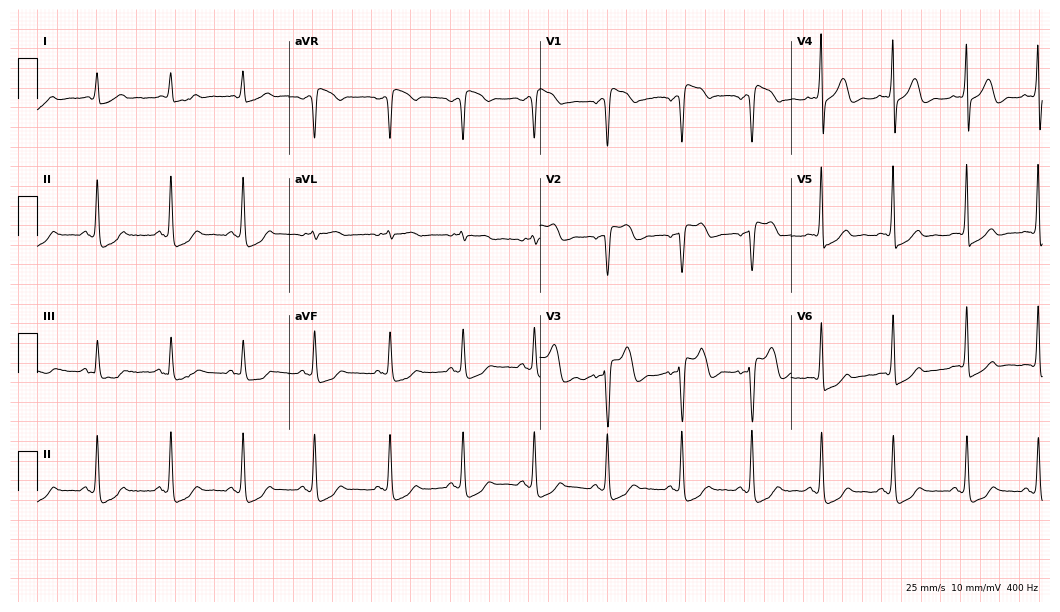
12-lead ECG from a 76-year-old female patient. No first-degree AV block, right bundle branch block, left bundle branch block, sinus bradycardia, atrial fibrillation or sinus tachycardia recorded for this tracing.